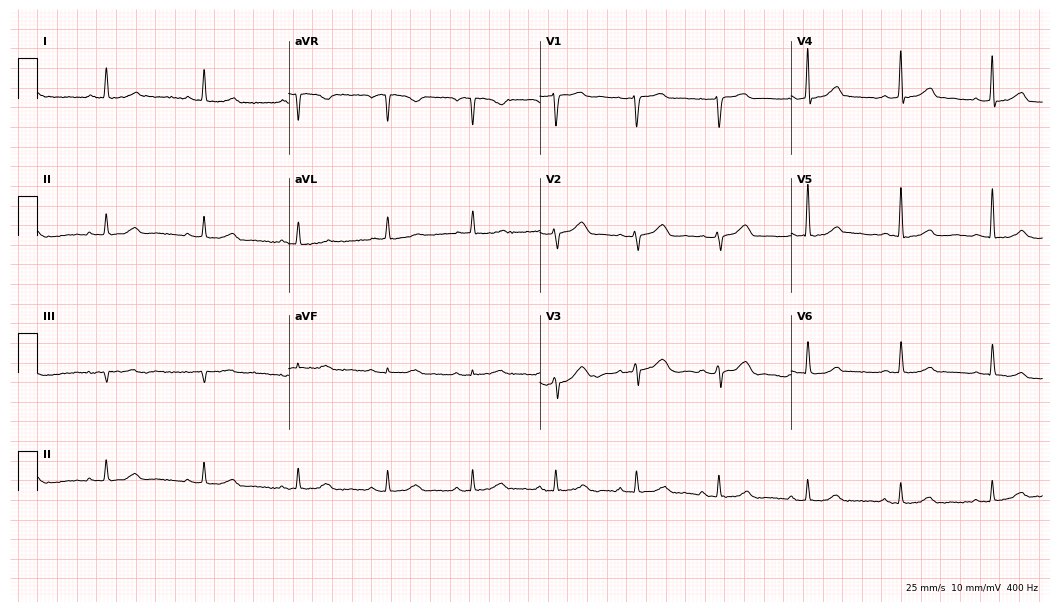
Resting 12-lead electrocardiogram. Patient: a 49-year-old female. Read as a normal ECG.